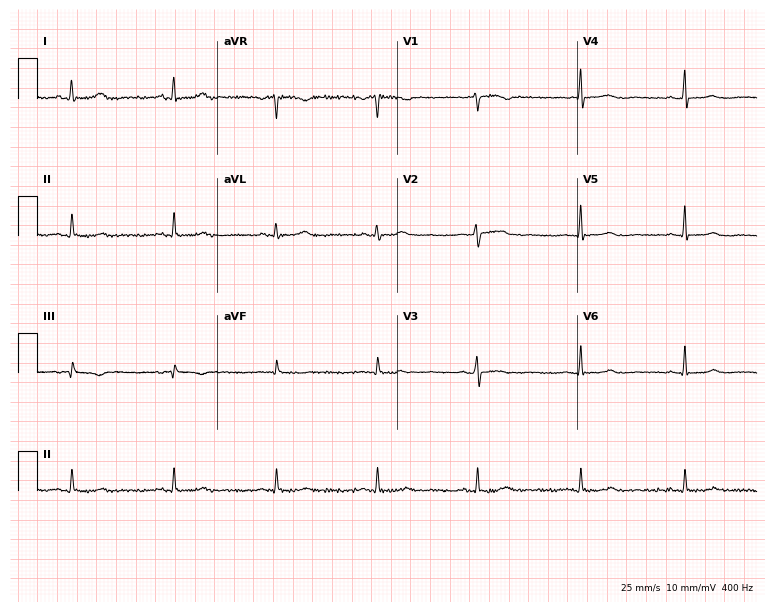
ECG — a female patient, 51 years old. Screened for six findings — first-degree AV block, right bundle branch block, left bundle branch block, sinus bradycardia, atrial fibrillation, sinus tachycardia — none is recorded.